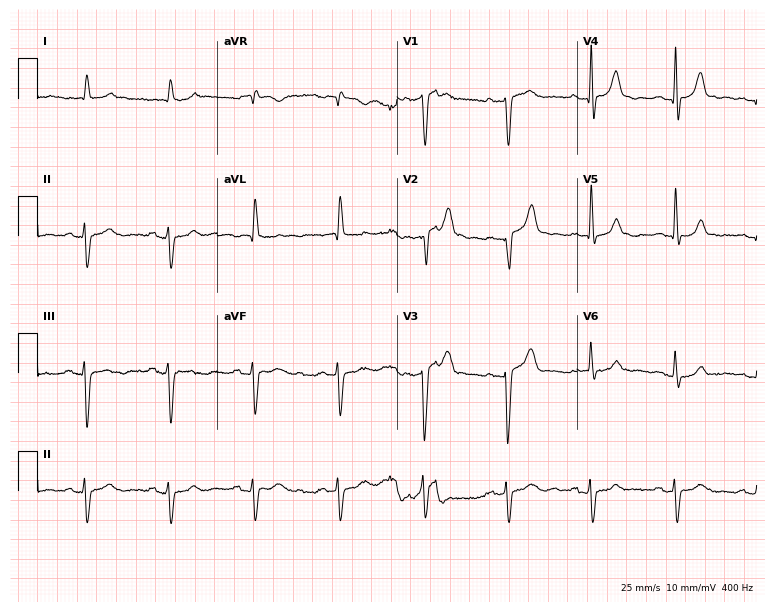
12-lead ECG from a female, 82 years old (7.3-second recording at 400 Hz). No first-degree AV block, right bundle branch block, left bundle branch block, sinus bradycardia, atrial fibrillation or sinus tachycardia recorded for this tracing. Other findings, if any, are not listed.